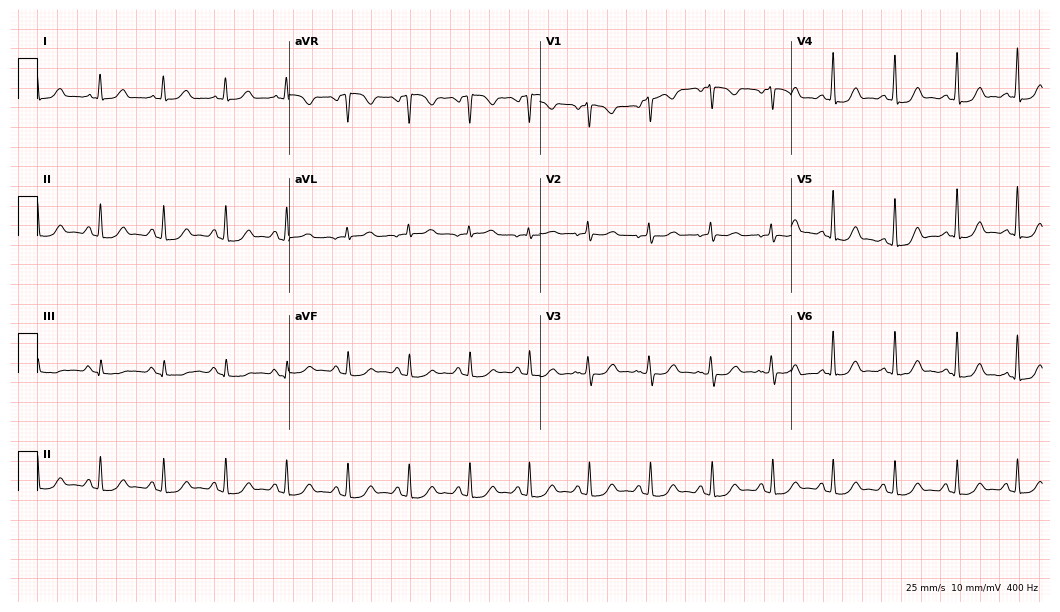
Electrocardiogram (10.2-second recording at 400 Hz), a 44-year-old female patient. Overall reading on record: normal ECG.